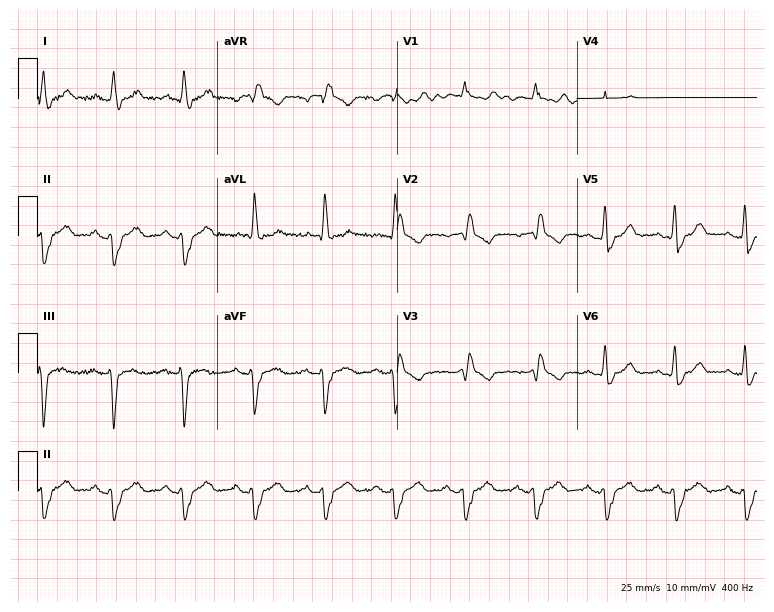
Standard 12-lead ECG recorded from a male patient, 66 years old. The tracing shows right bundle branch block (RBBB).